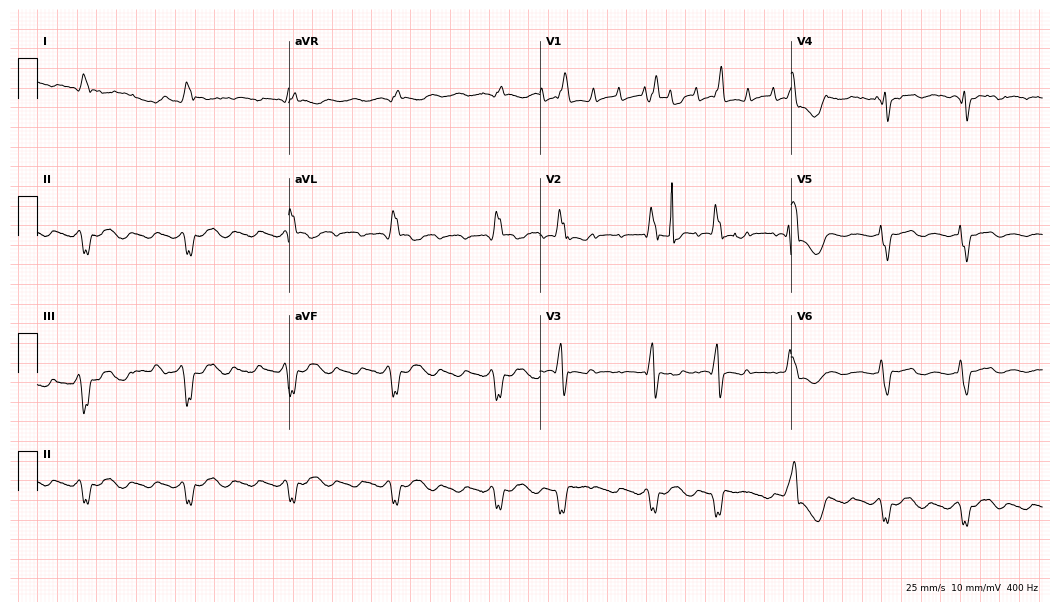
Electrocardiogram, a female patient, 53 years old. Of the six screened findings (first-degree AV block, right bundle branch block (RBBB), left bundle branch block (LBBB), sinus bradycardia, atrial fibrillation (AF), sinus tachycardia), none is recorded.